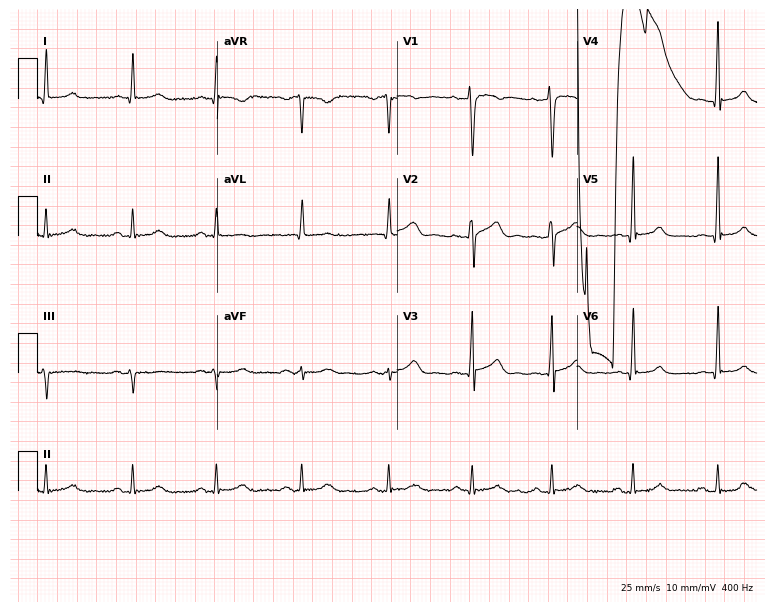
12-lead ECG from a 48-year-old male. No first-degree AV block, right bundle branch block, left bundle branch block, sinus bradycardia, atrial fibrillation or sinus tachycardia recorded for this tracing.